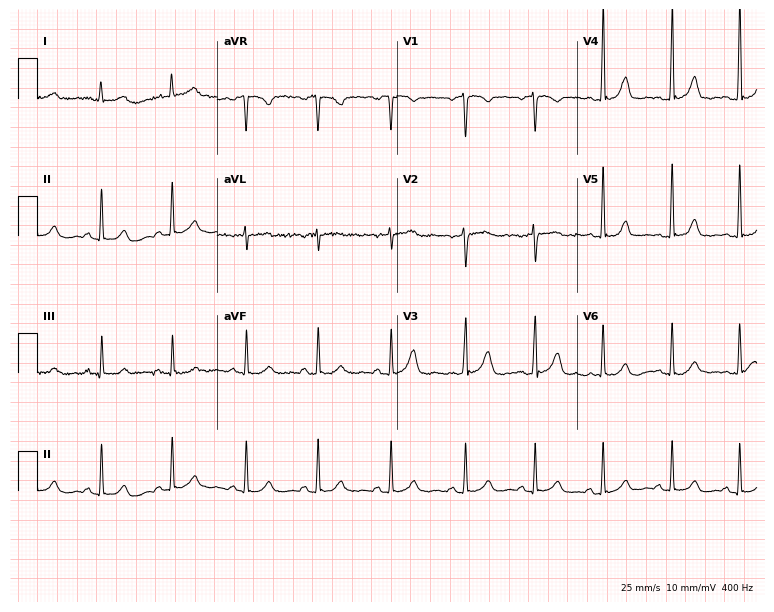
12-lead ECG from a female, 28 years old (7.3-second recording at 400 Hz). Recorded interpretation: within normal limits.